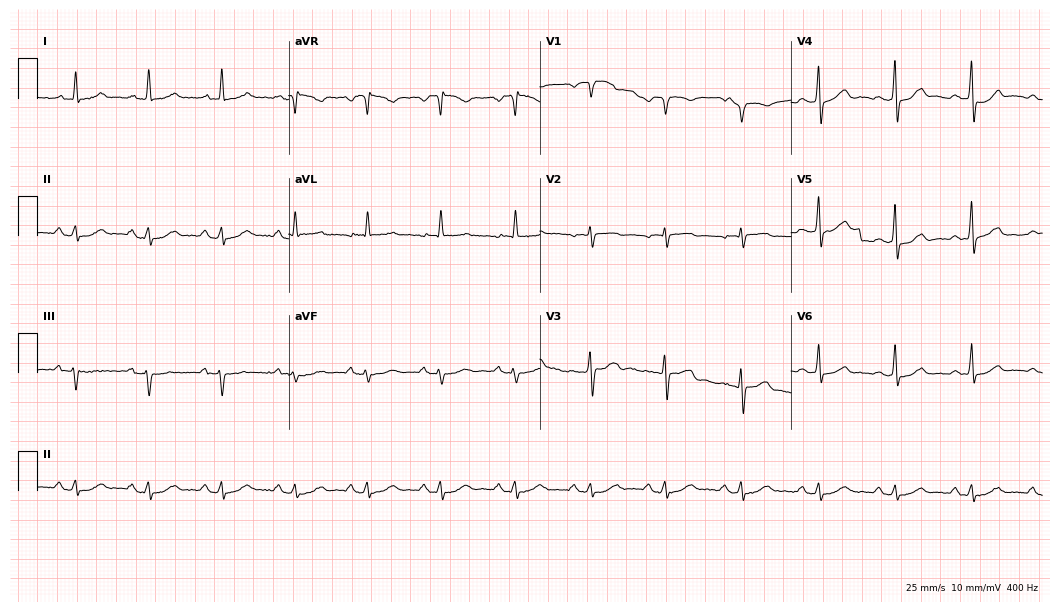
12-lead ECG from a 70-year-old male (10.2-second recording at 400 Hz). Recorded interpretation: within normal limits.